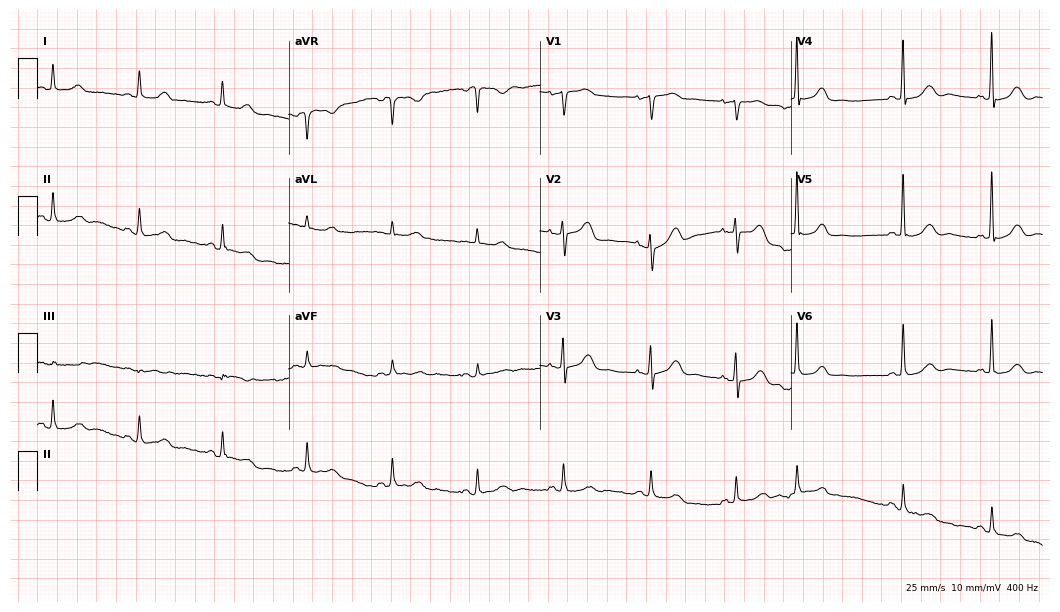
Electrocardiogram, an 80-year-old female patient. Of the six screened findings (first-degree AV block, right bundle branch block (RBBB), left bundle branch block (LBBB), sinus bradycardia, atrial fibrillation (AF), sinus tachycardia), none is recorded. Only these six findings were labelled.